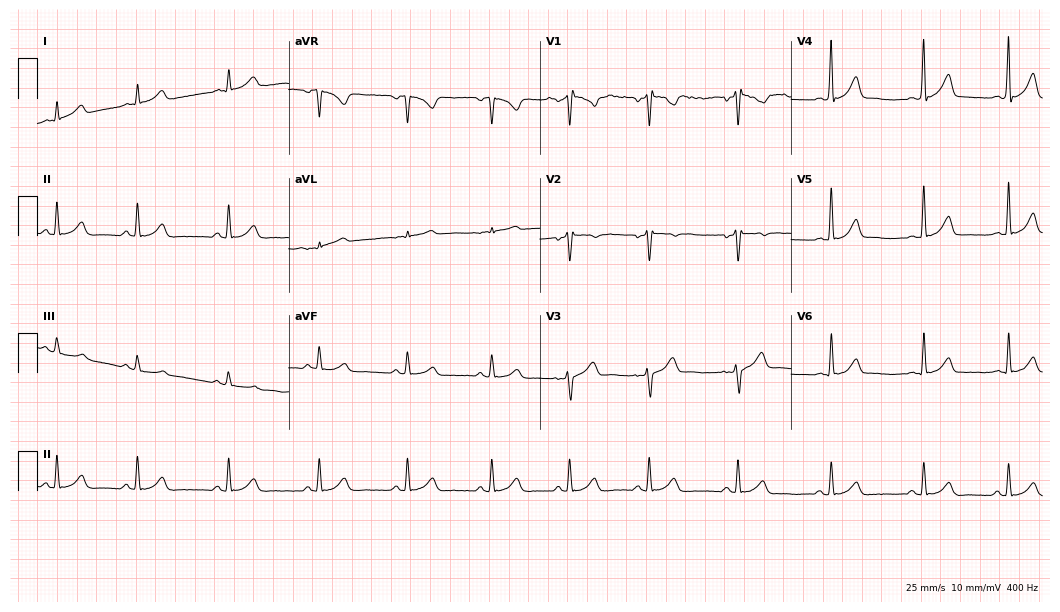
12-lead ECG from a 38-year-old male. Recorded interpretation: within normal limits.